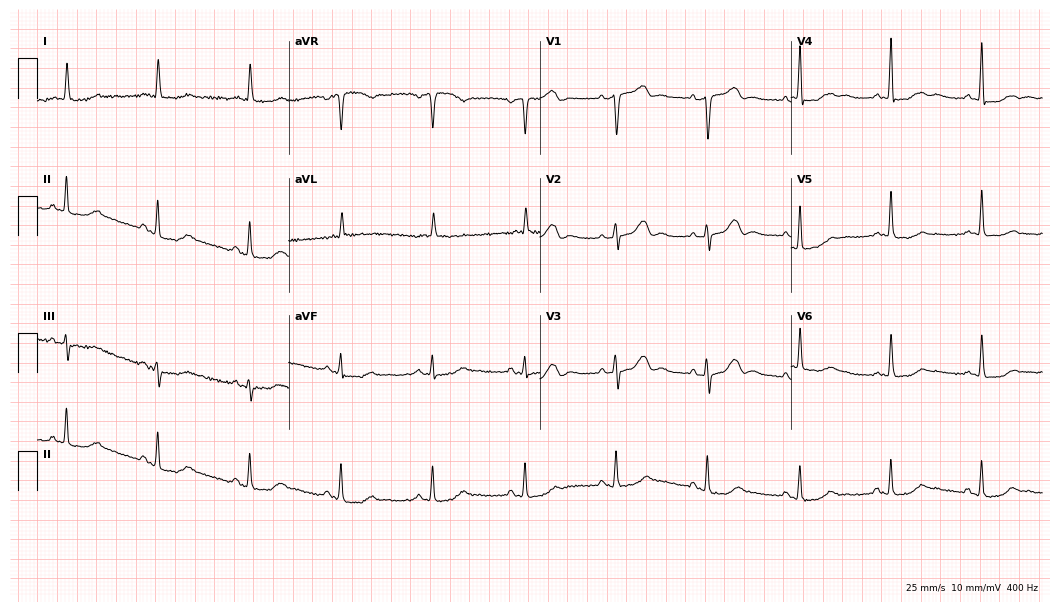
12-lead ECG (10.2-second recording at 400 Hz) from a woman, 77 years old. Screened for six findings — first-degree AV block, right bundle branch block, left bundle branch block, sinus bradycardia, atrial fibrillation, sinus tachycardia — none is recorded.